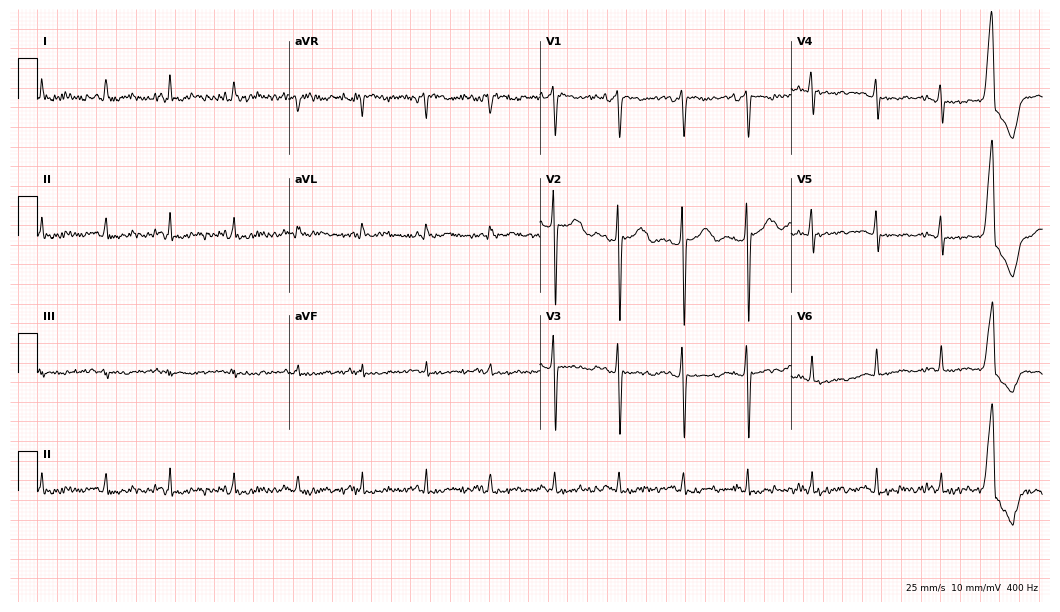
Electrocardiogram, a 72-year-old man. Of the six screened findings (first-degree AV block, right bundle branch block, left bundle branch block, sinus bradycardia, atrial fibrillation, sinus tachycardia), none is recorded. Findings outside these six are not listed.